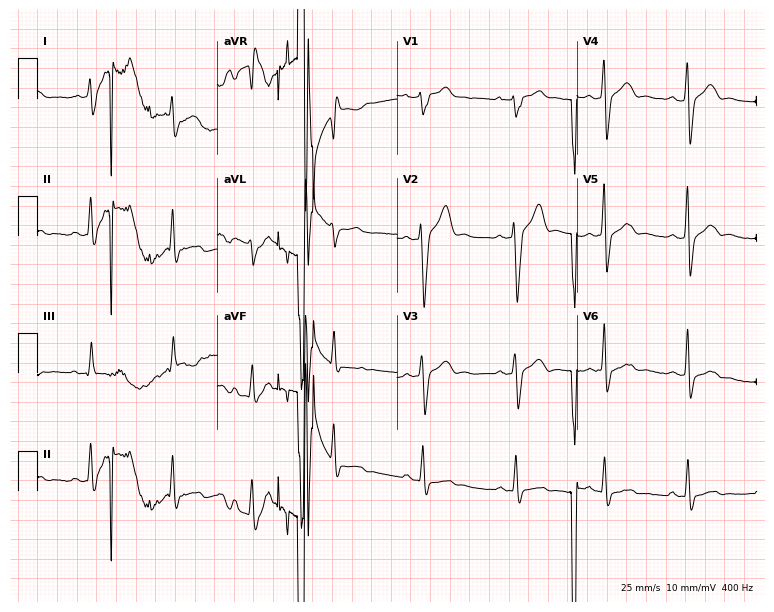
12-lead ECG from a man, 22 years old. No first-degree AV block, right bundle branch block, left bundle branch block, sinus bradycardia, atrial fibrillation or sinus tachycardia recorded for this tracing.